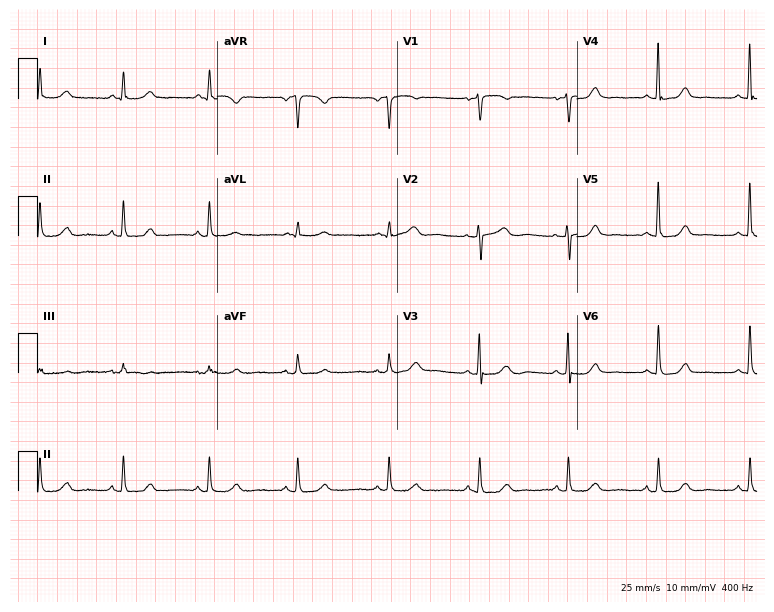
12-lead ECG from a 68-year-old woman. Recorded interpretation: within normal limits.